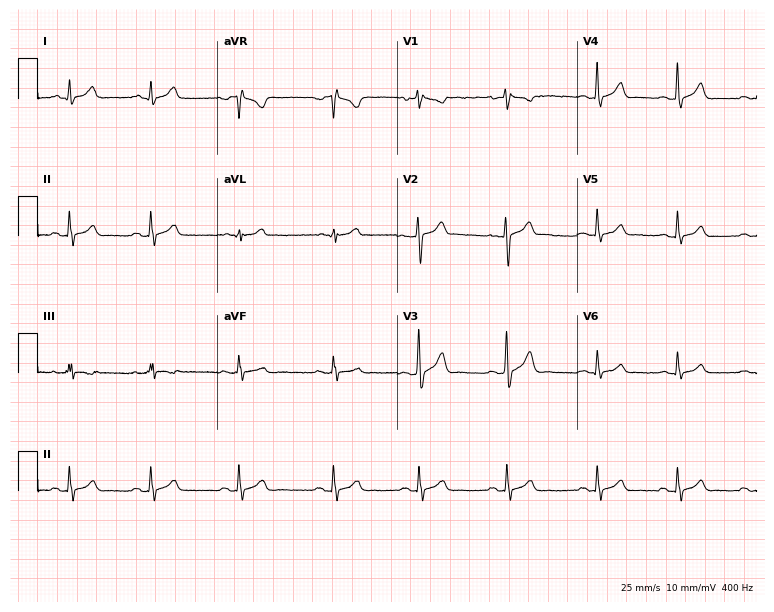
Standard 12-lead ECG recorded from a man, 17 years old. Read as a normal ECG.